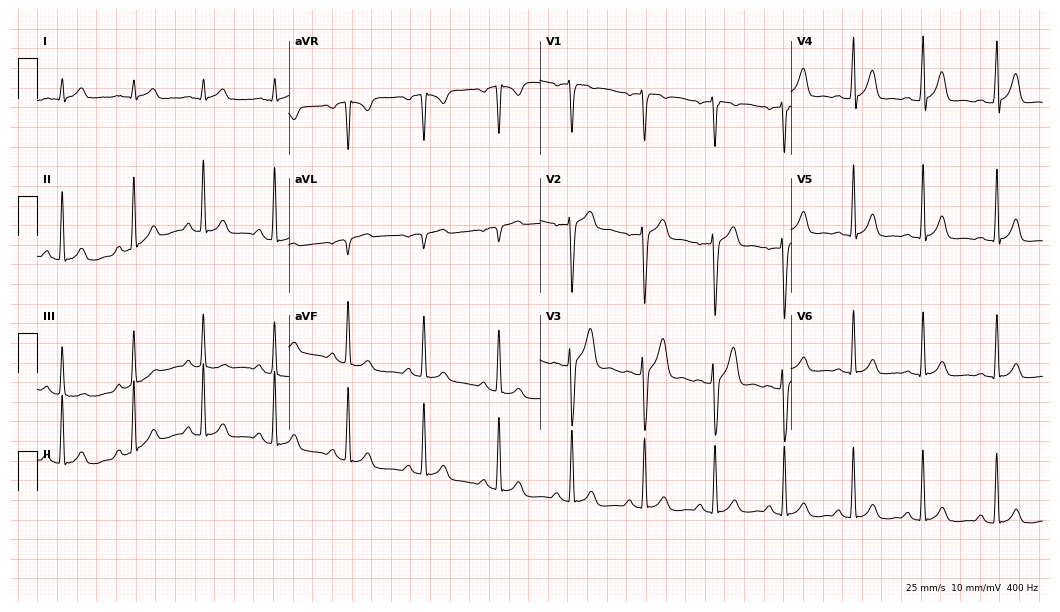
12-lead ECG (10.2-second recording at 400 Hz) from a 32-year-old male patient. Labelled as a normal ECG.